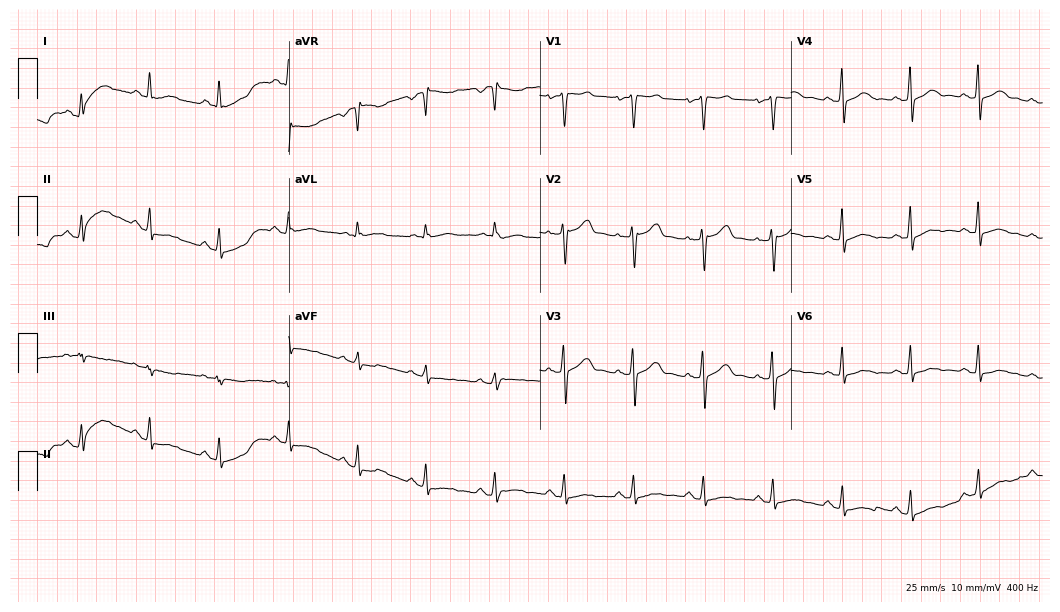
Resting 12-lead electrocardiogram (10.2-second recording at 400 Hz). Patient: a 41-year-old female. None of these six findings is recorded: first-degree AV block, right bundle branch block, left bundle branch block, sinus bradycardia, atrial fibrillation, sinus tachycardia. Other findings, if any, are not listed.